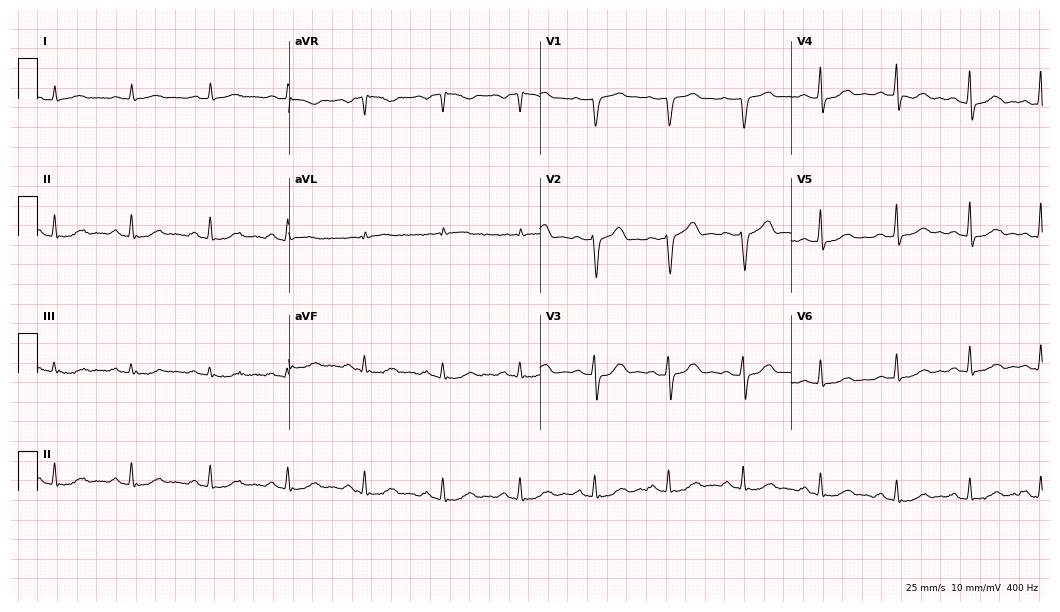
Resting 12-lead electrocardiogram (10.2-second recording at 400 Hz). Patient: a 43-year-old man. Read as a normal ECG.